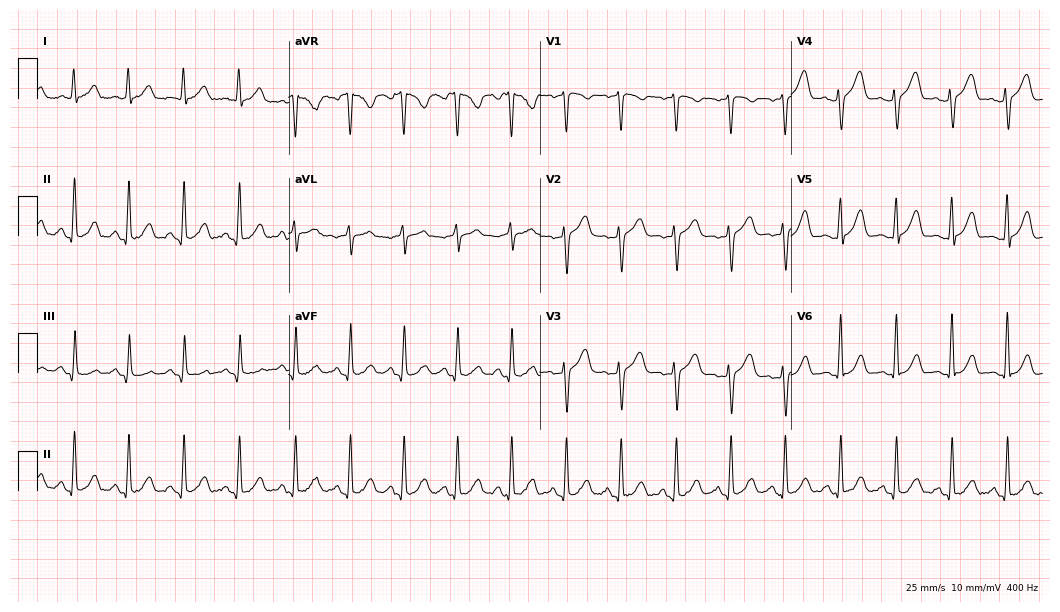
Standard 12-lead ECG recorded from a female patient, 37 years old (10.2-second recording at 400 Hz). The tracing shows sinus tachycardia (a sinus rate of 100 beats per minute or more).